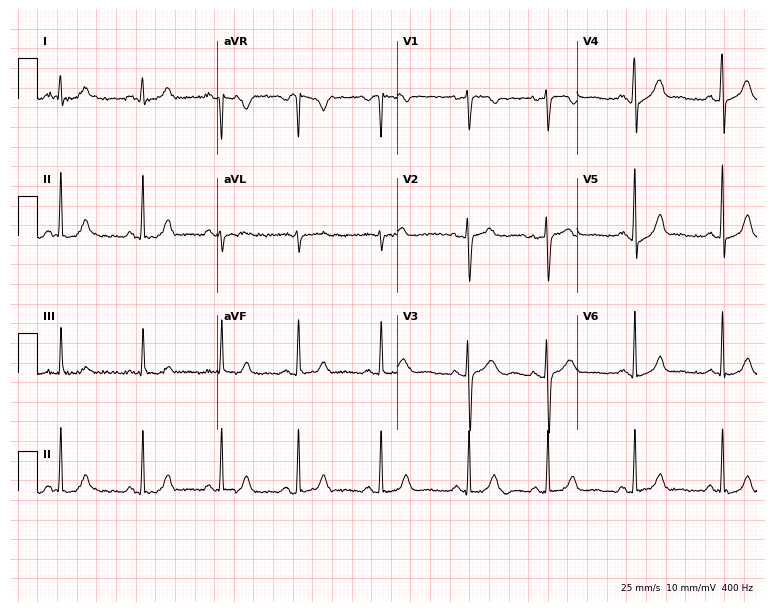
Electrocardiogram (7.3-second recording at 400 Hz), a 23-year-old female. Overall reading on record: normal ECG.